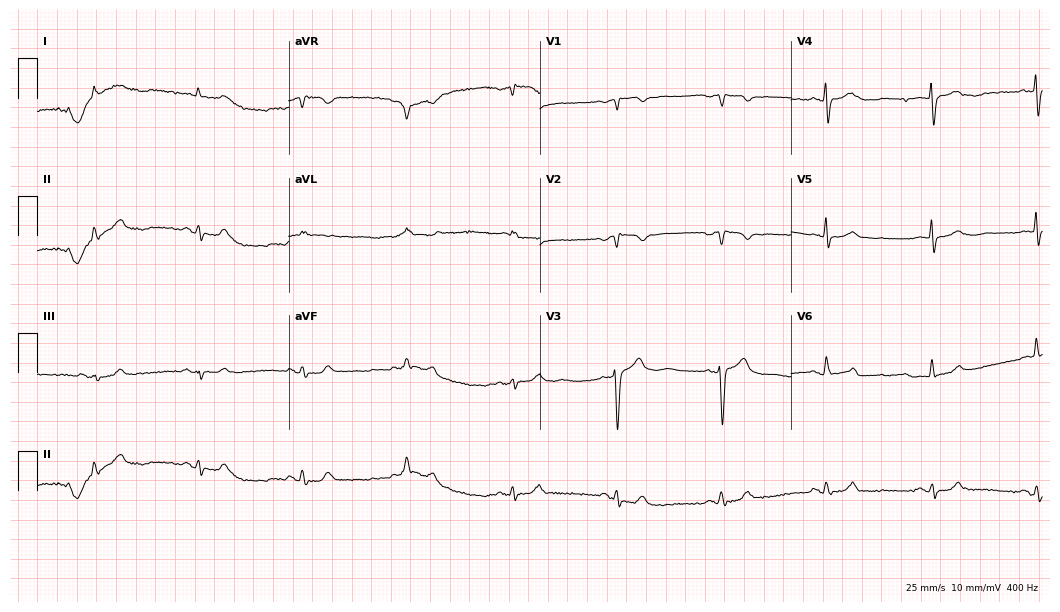
Electrocardiogram, a 77-year-old male patient. Of the six screened findings (first-degree AV block, right bundle branch block (RBBB), left bundle branch block (LBBB), sinus bradycardia, atrial fibrillation (AF), sinus tachycardia), none is recorded.